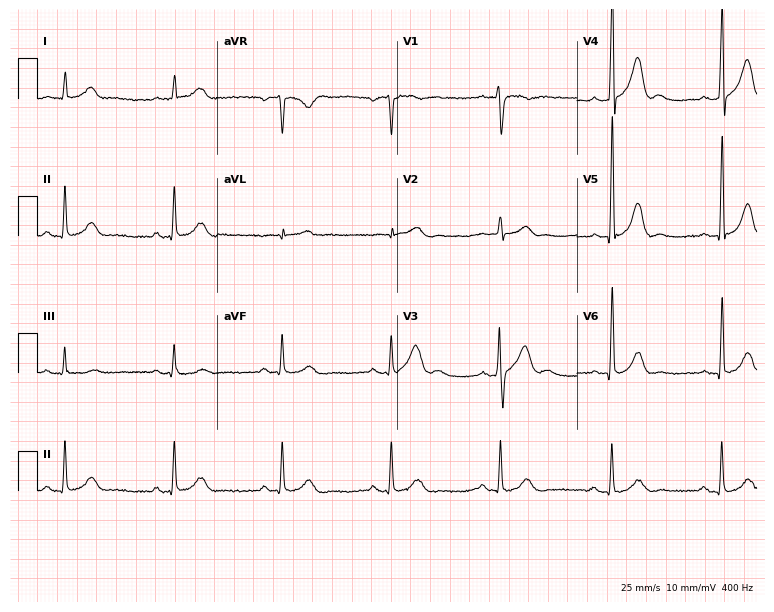
Resting 12-lead electrocardiogram. Patient: a 52-year-old male. Read as a normal ECG.